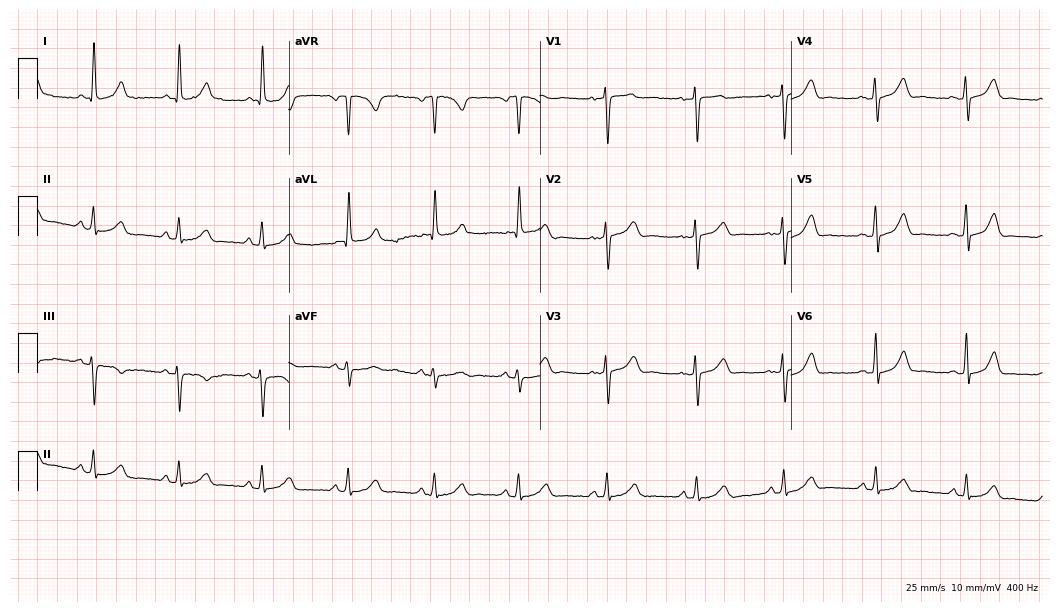
12-lead ECG (10.2-second recording at 400 Hz) from a female patient, 38 years old. Labelled as a normal ECG.